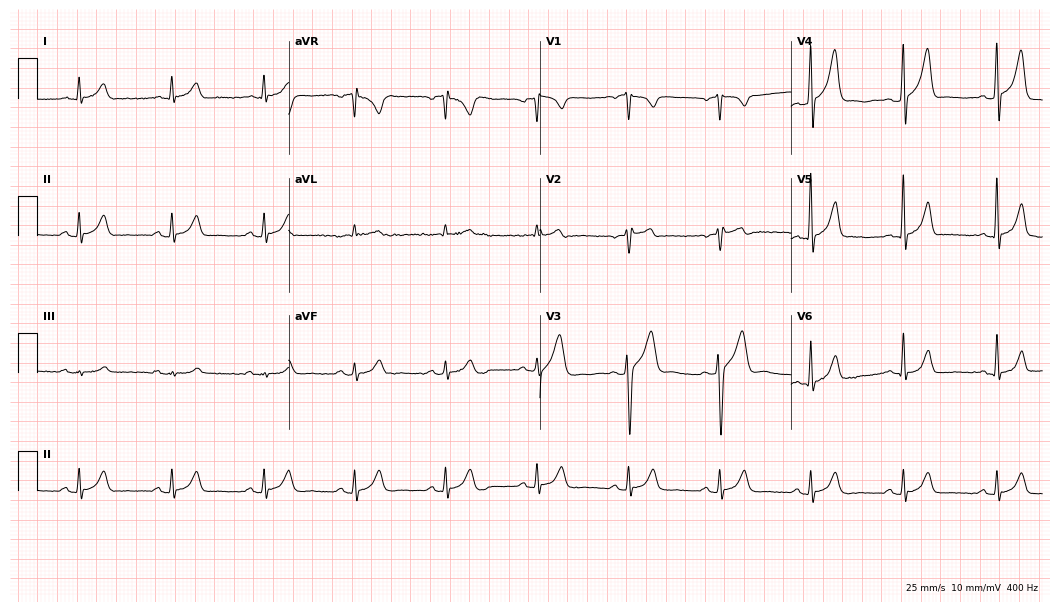
Resting 12-lead electrocardiogram (10.2-second recording at 400 Hz). Patient: a 58-year-old male. Read as a normal ECG.